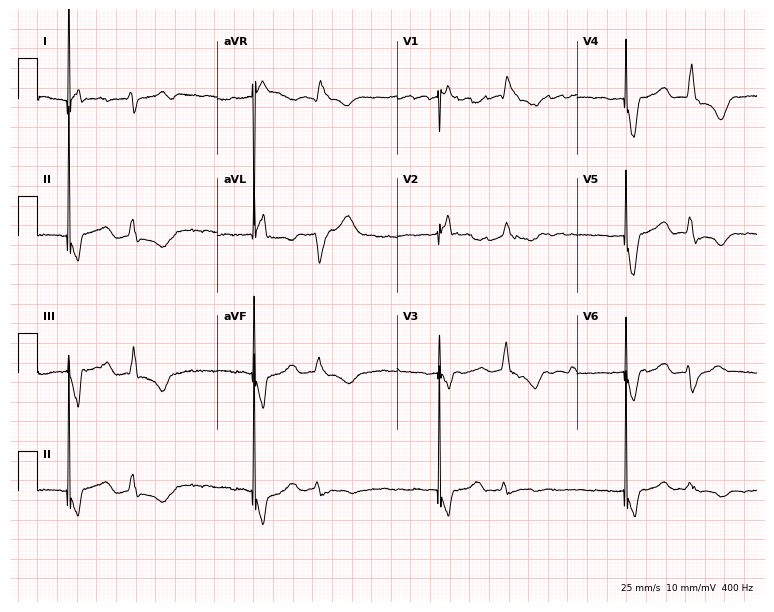
Electrocardiogram, a female patient, 66 years old. Of the six screened findings (first-degree AV block, right bundle branch block (RBBB), left bundle branch block (LBBB), sinus bradycardia, atrial fibrillation (AF), sinus tachycardia), none is recorded.